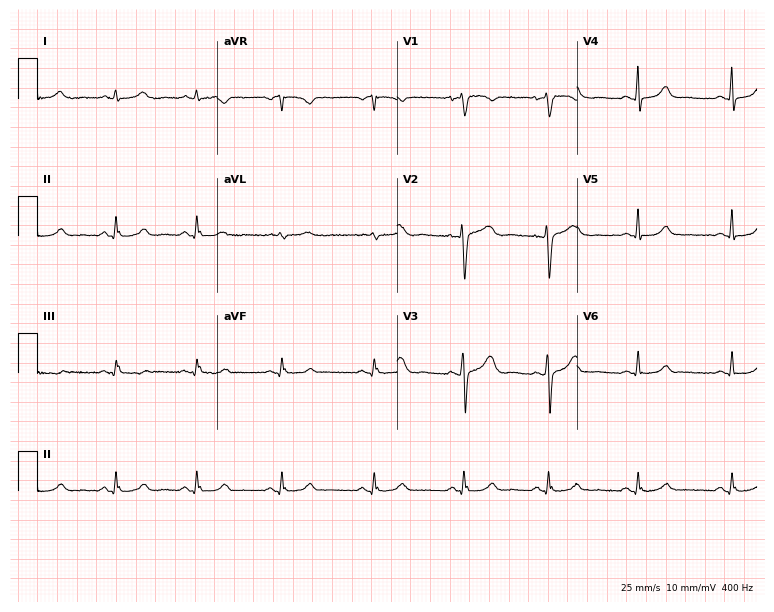
Resting 12-lead electrocardiogram (7.3-second recording at 400 Hz). Patient: a 41-year-old female. None of these six findings is recorded: first-degree AV block, right bundle branch block, left bundle branch block, sinus bradycardia, atrial fibrillation, sinus tachycardia.